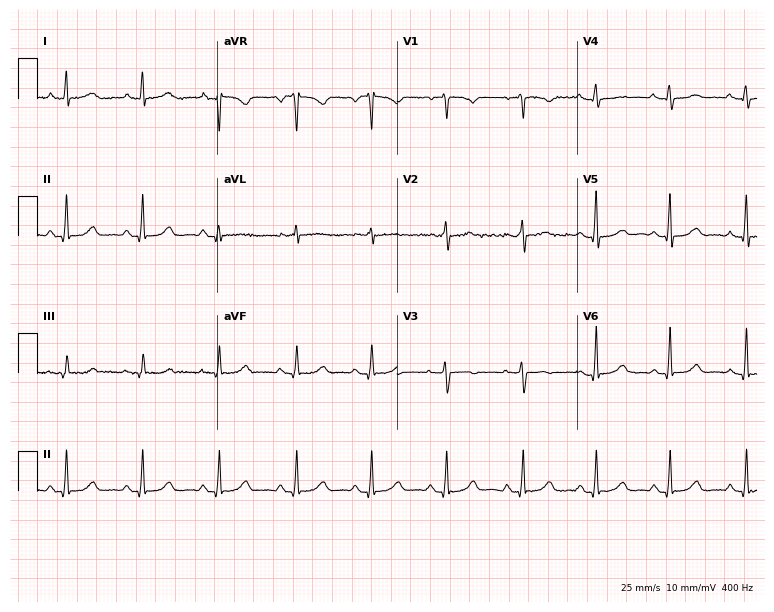
12-lead ECG from a female, 49 years old (7.3-second recording at 400 Hz). Recorded interpretation: within normal limits.